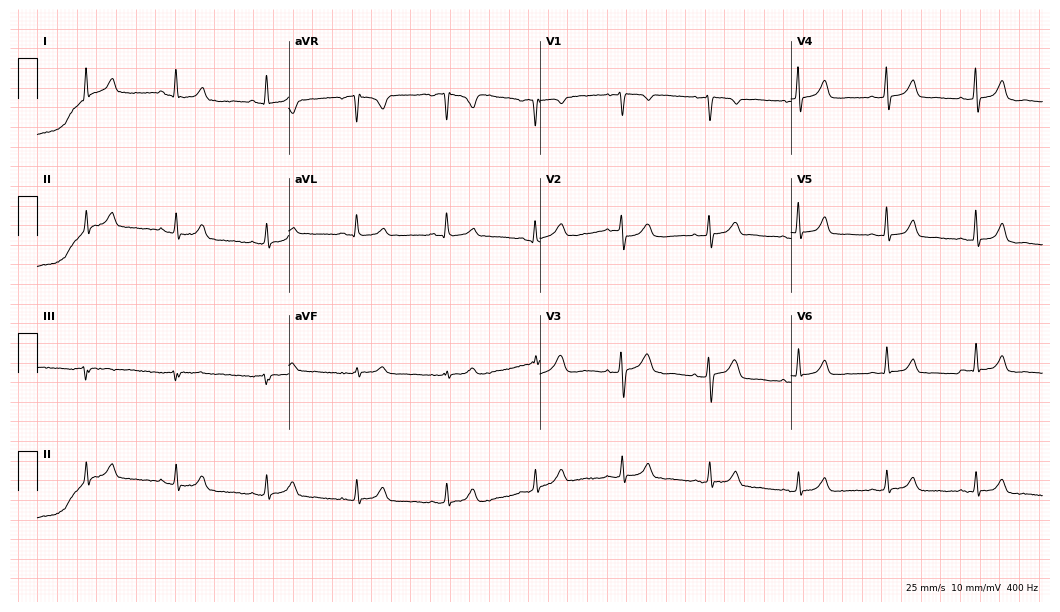
ECG — a woman, 49 years old. Screened for six findings — first-degree AV block, right bundle branch block (RBBB), left bundle branch block (LBBB), sinus bradycardia, atrial fibrillation (AF), sinus tachycardia — none is recorded. Other findings, if any, are not listed.